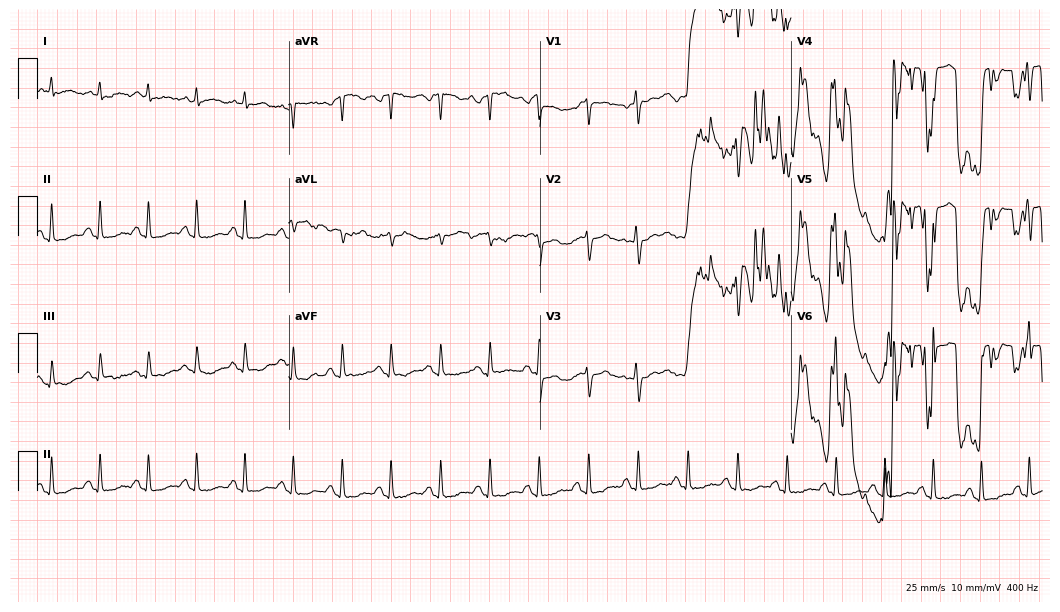
Electrocardiogram, a female patient, 53 years old. Of the six screened findings (first-degree AV block, right bundle branch block (RBBB), left bundle branch block (LBBB), sinus bradycardia, atrial fibrillation (AF), sinus tachycardia), none is recorded. Other findings, if any, are not listed.